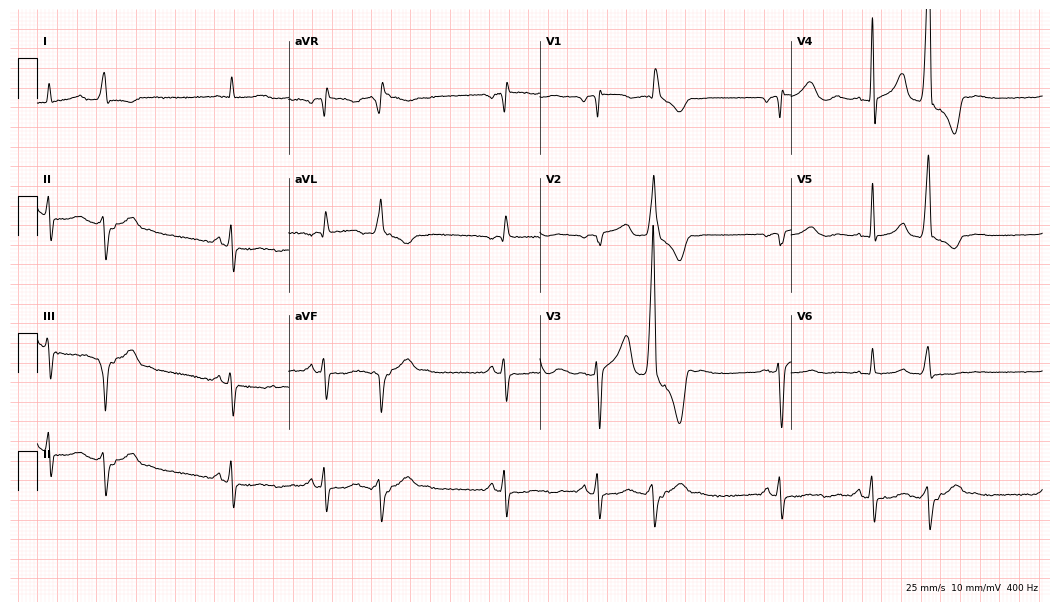
12-lead ECG (10.2-second recording at 400 Hz) from a man, 79 years old. Screened for six findings — first-degree AV block, right bundle branch block (RBBB), left bundle branch block (LBBB), sinus bradycardia, atrial fibrillation (AF), sinus tachycardia — none is recorded. Findings outside these six are not listed.